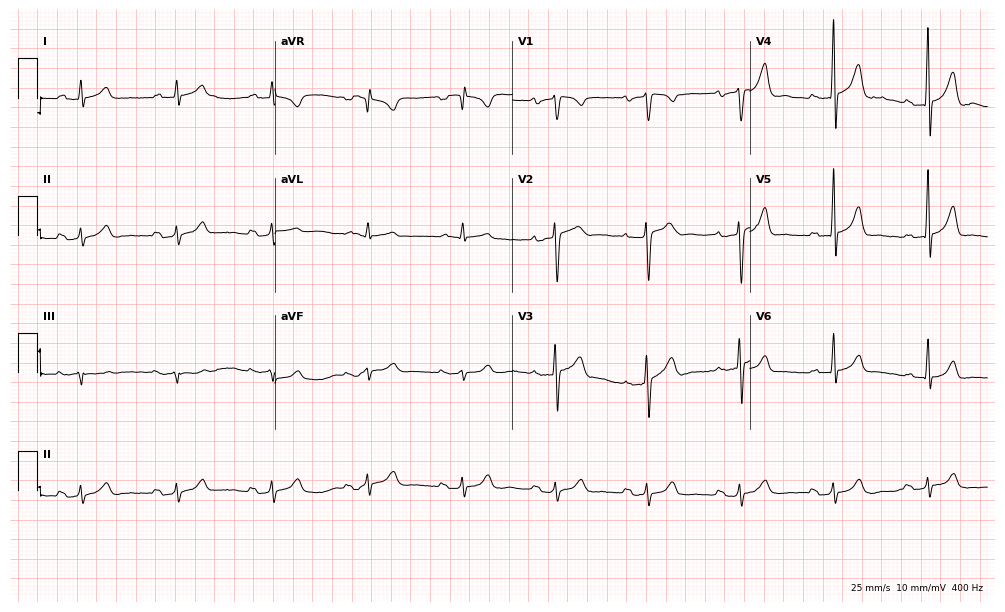
Resting 12-lead electrocardiogram (9.7-second recording at 400 Hz). Patient: a 74-year-old man. Read as a normal ECG.